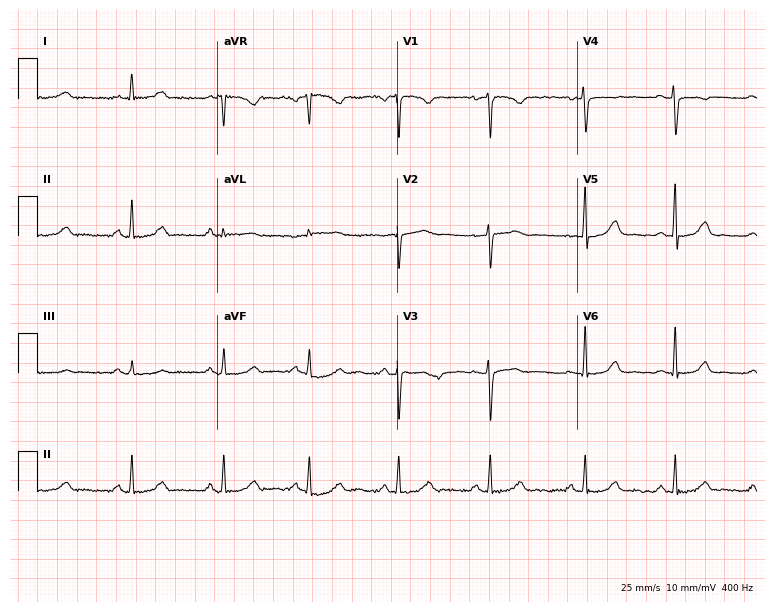
Standard 12-lead ECG recorded from a 32-year-old female patient. Read as a normal ECG.